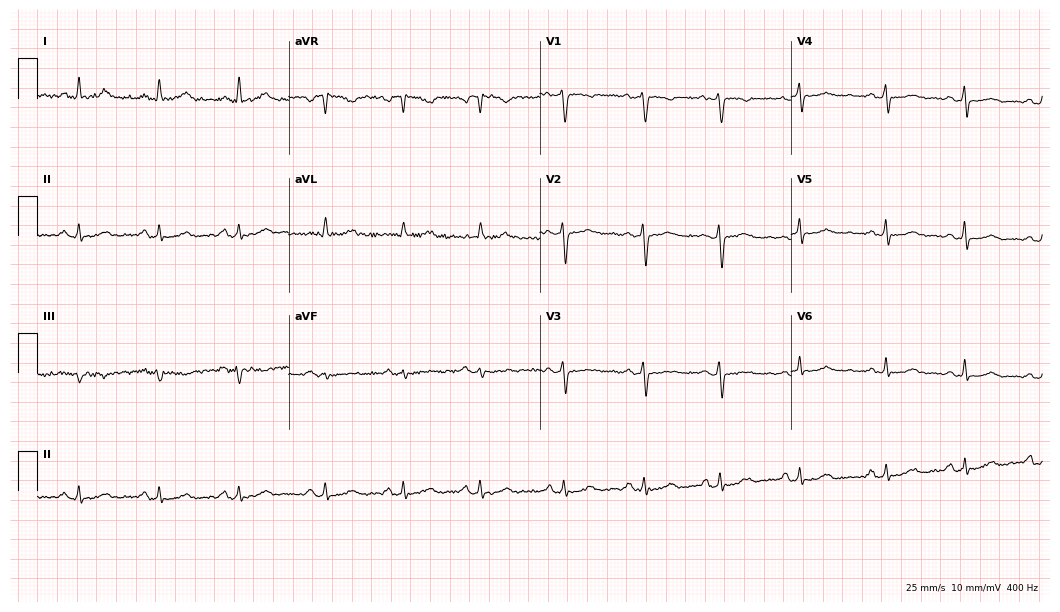
Electrocardiogram, a woman, 42 years old. Of the six screened findings (first-degree AV block, right bundle branch block (RBBB), left bundle branch block (LBBB), sinus bradycardia, atrial fibrillation (AF), sinus tachycardia), none is recorded. Only these six findings were labelled.